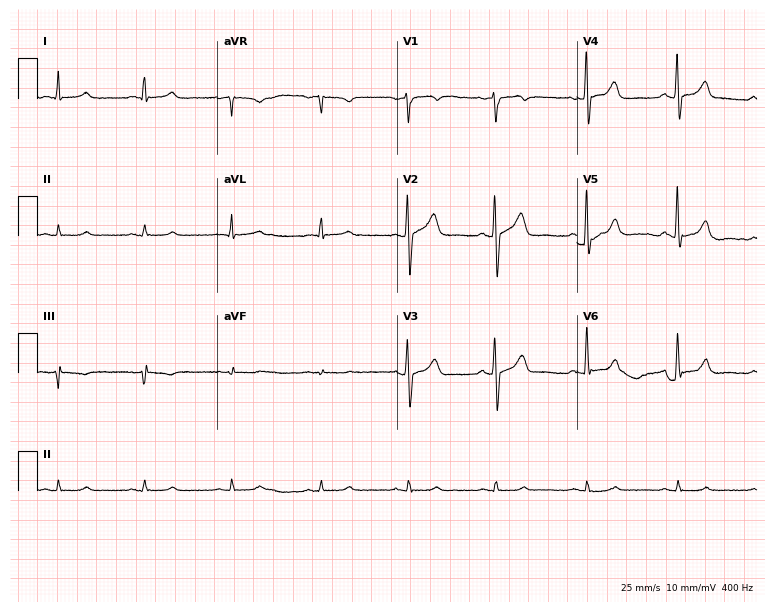
12-lead ECG from a 49-year-old male patient. No first-degree AV block, right bundle branch block, left bundle branch block, sinus bradycardia, atrial fibrillation or sinus tachycardia recorded for this tracing. Other findings, if any, are not listed.